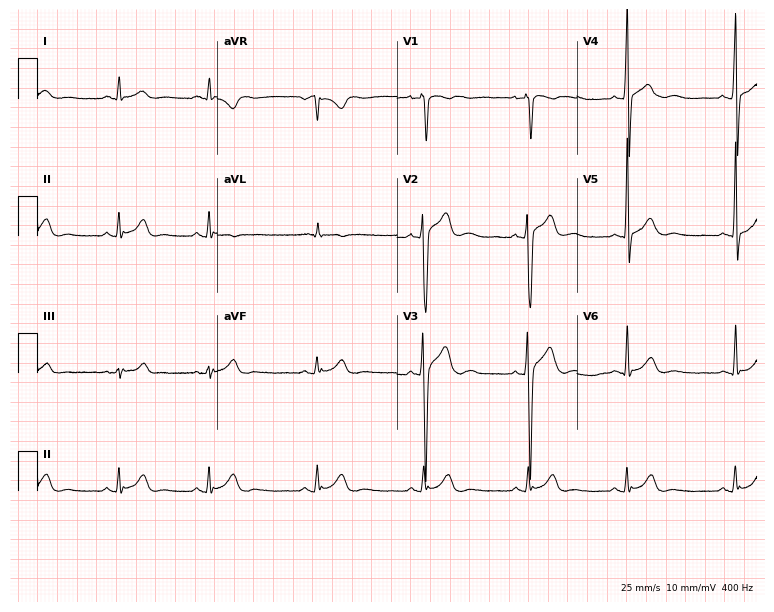
Electrocardiogram (7.3-second recording at 400 Hz), a 30-year-old man. Overall reading on record: normal ECG.